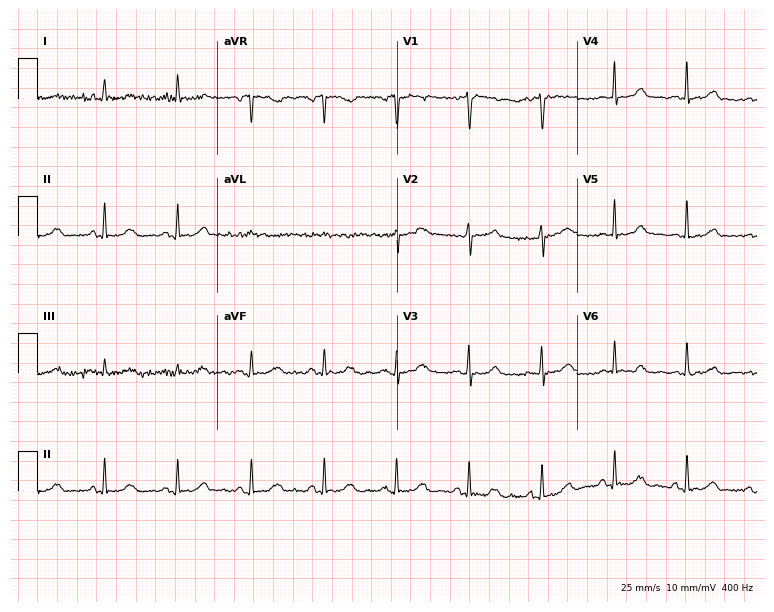
ECG — a woman, 49 years old. Screened for six findings — first-degree AV block, right bundle branch block, left bundle branch block, sinus bradycardia, atrial fibrillation, sinus tachycardia — none is recorded.